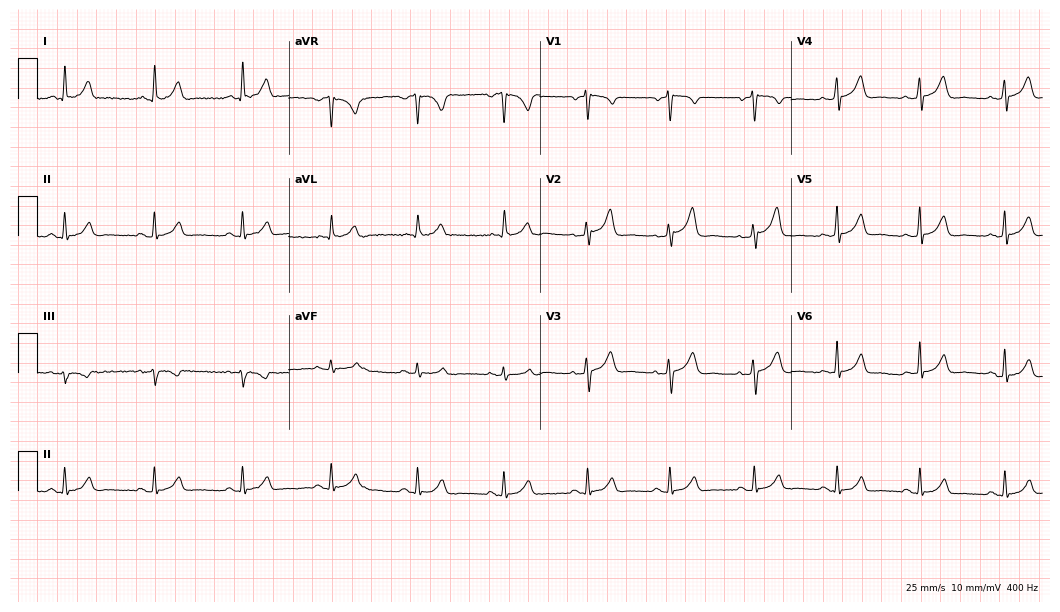
Resting 12-lead electrocardiogram (10.2-second recording at 400 Hz). Patient: a male, 48 years old. Read as a normal ECG.